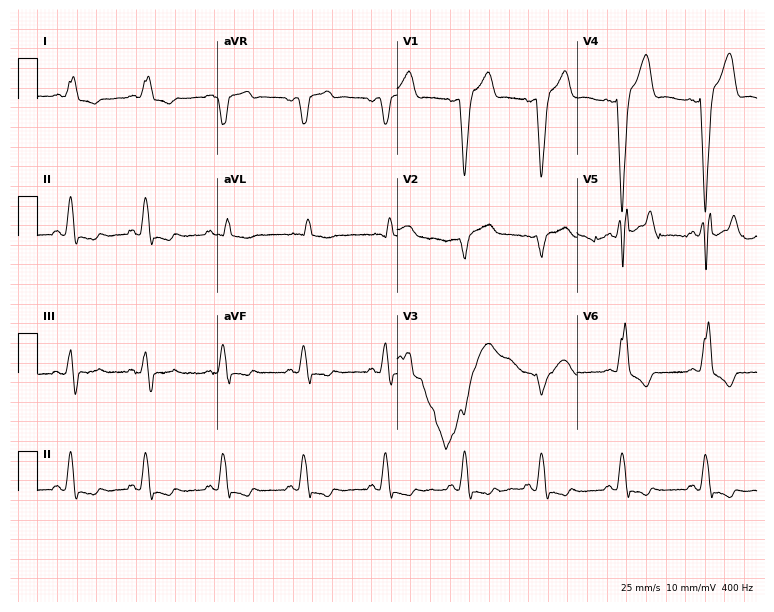
12-lead ECG from a male patient, 58 years old (7.3-second recording at 400 Hz). No first-degree AV block, right bundle branch block (RBBB), left bundle branch block (LBBB), sinus bradycardia, atrial fibrillation (AF) or sinus tachycardia recorded for this tracing.